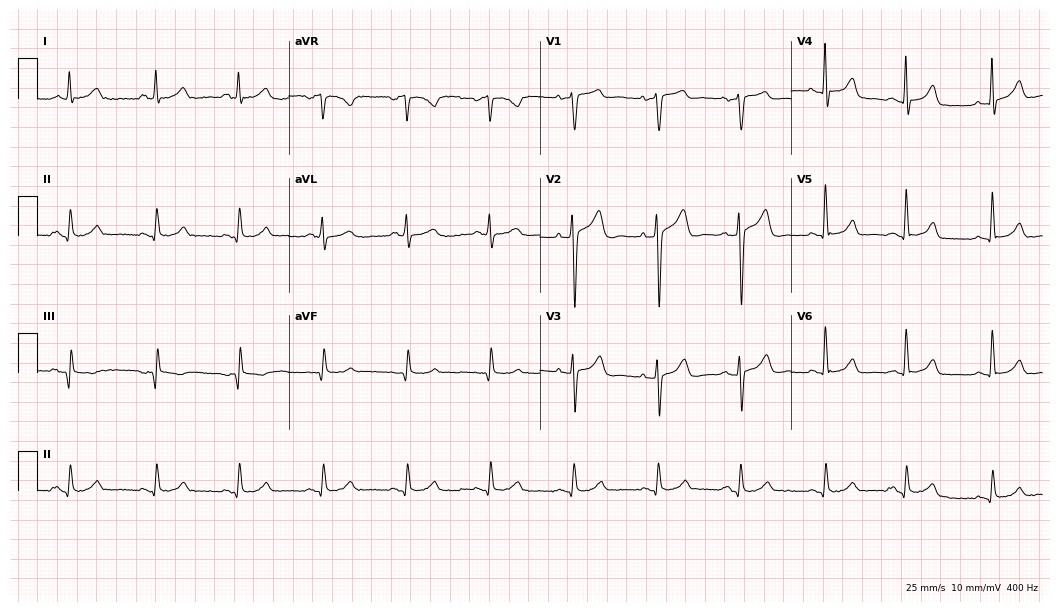
ECG (10.2-second recording at 400 Hz) — a male, 66 years old. Labelled as a normal ECG.